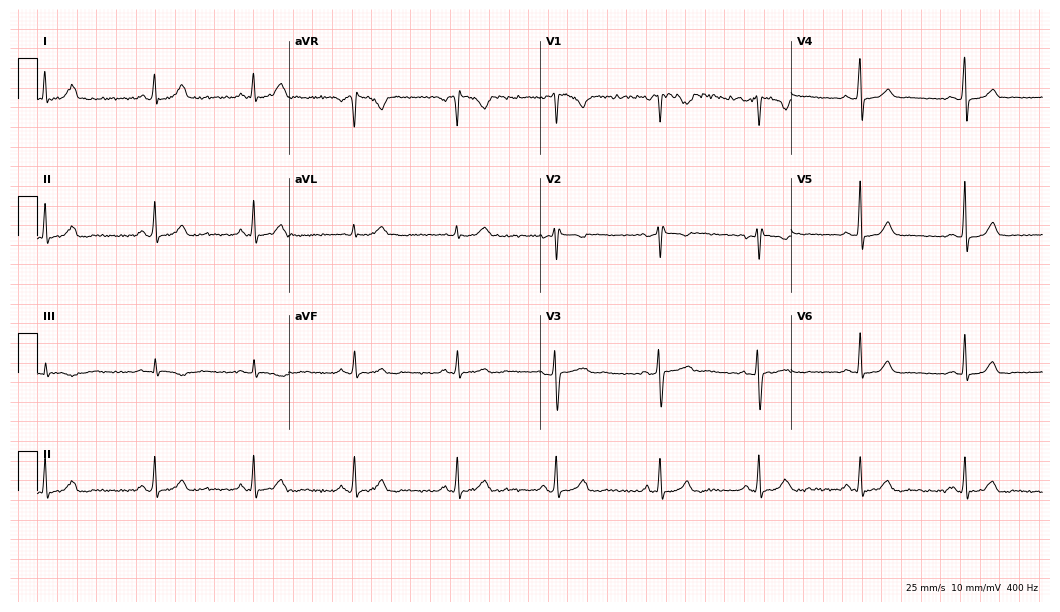
12-lead ECG from a 33-year-old female (10.2-second recording at 400 Hz). Recorded interpretation: within normal limits.